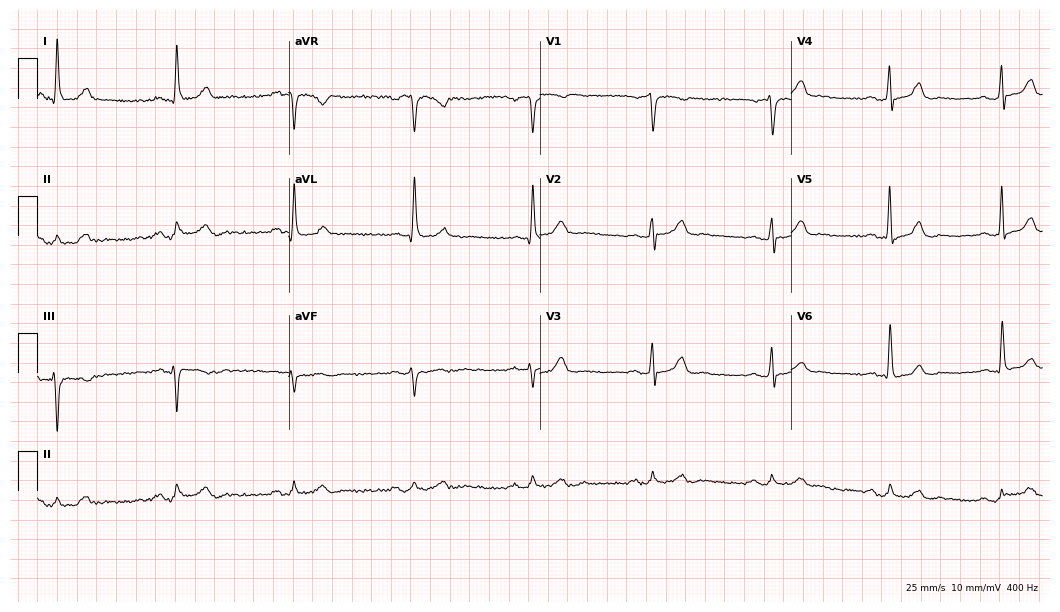
12-lead ECG (10.2-second recording at 400 Hz) from an 80-year-old male. Findings include sinus bradycardia (a sinus rate of 50 beats per minute or less).